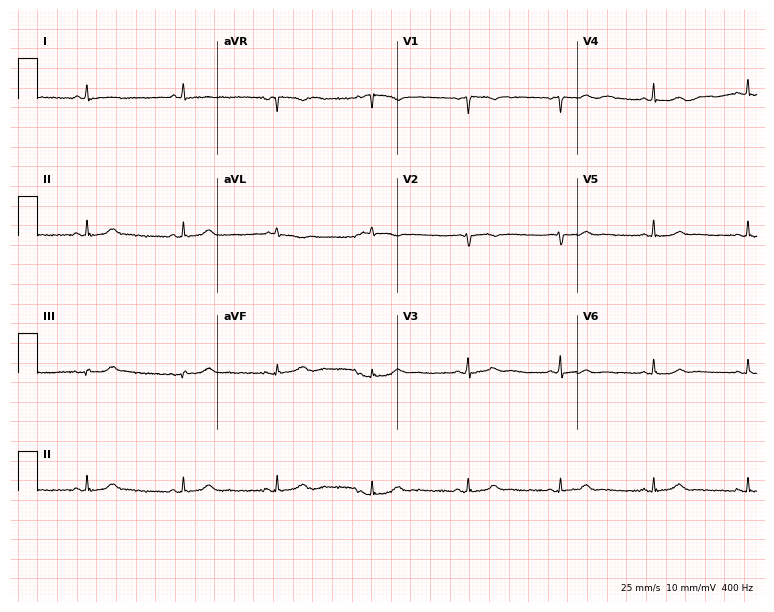
Electrocardiogram, a 45-year-old female patient. Of the six screened findings (first-degree AV block, right bundle branch block, left bundle branch block, sinus bradycardia, atrial fibrillation, sinus tachycardia), none is recorded. Other findings, if any, are not listed.